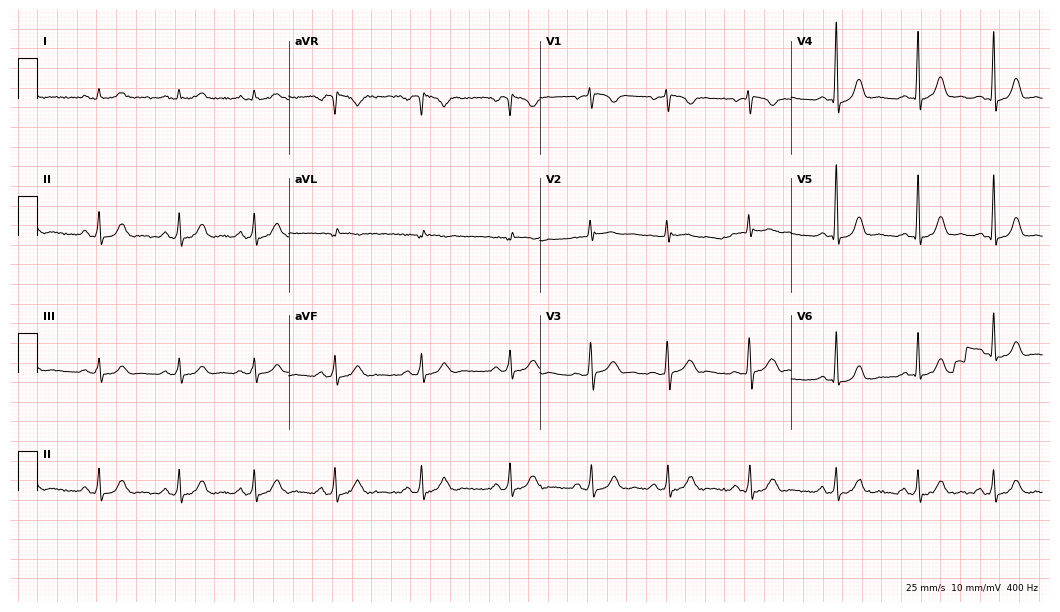
ECG (10.2-second recording at 400 Hz) — a 32-year-old female patient. Labelled as a normal ECG.